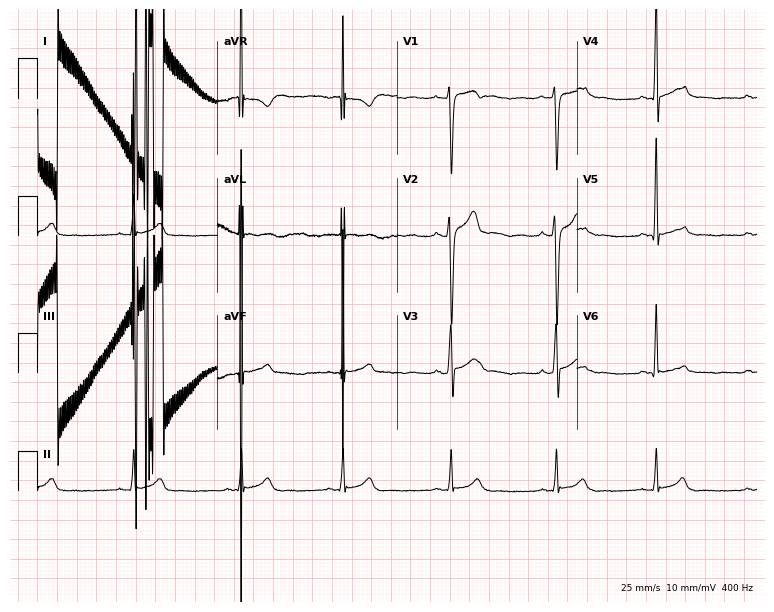
12-lead ECG (7.3-second recording at 400 Hz) from a 34-year-old male patient. Screened for six findings — first-degree AV block, right bundle branch block, left bundle branch block, sinus bradycardia, atrial fibrillation, sinus tachycardia — none is recorded.